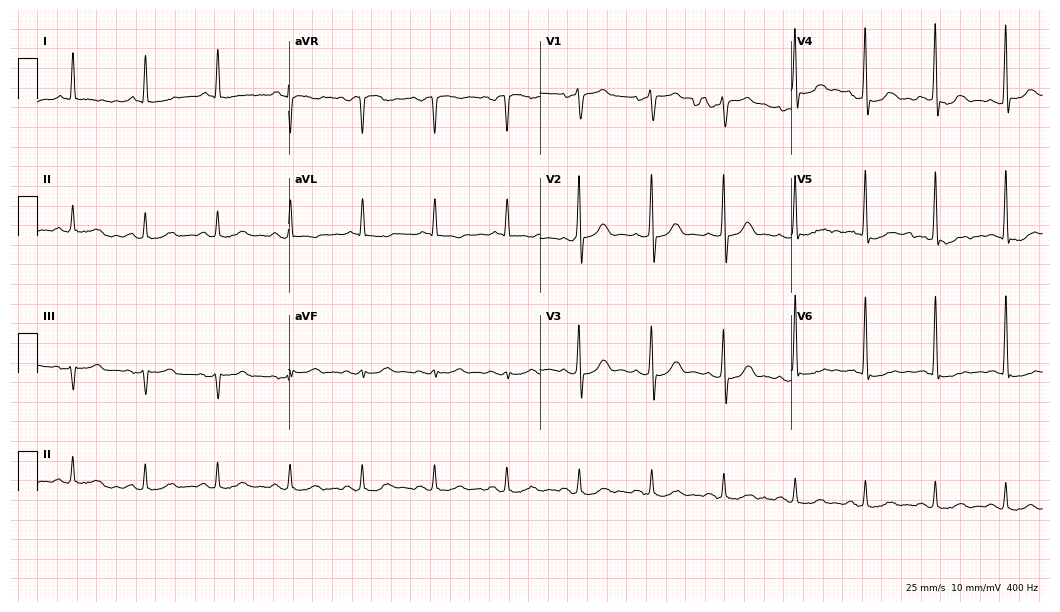
Standard 12-lead ECG recorded from a male, 72 years old (10.2-second recording at 400 Hz). None of these six findings is recorded: first-degree AV block, right bundle branch block, left bundle branch block, sinus bradycardia, atrial fibrillation, sinus tachycardia. Only these six findings were labelled.